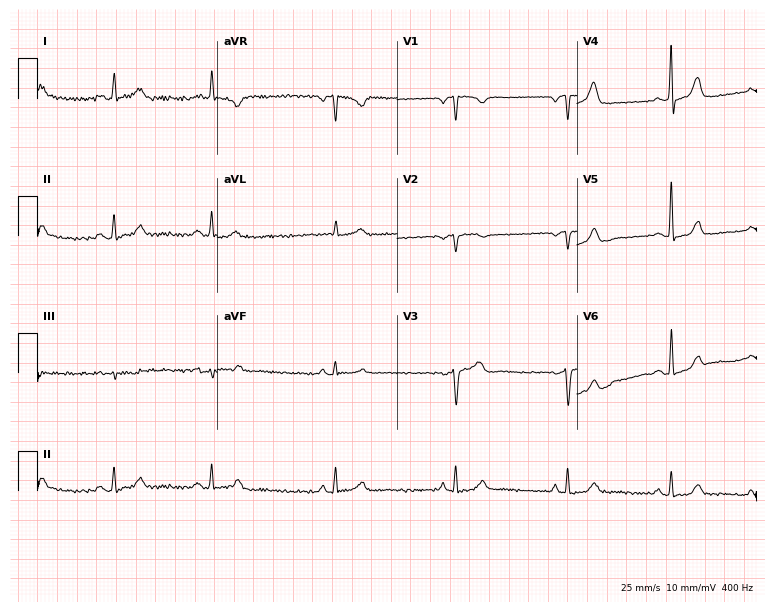
Resting 12-lead electrocardiogram (7.3-second recording at 400 Hz). Patient: a female, 49 years old. None of these six findings is recorded: first-degree AV block, right bundle branch block, left bundle branch block, sinus bradycardia, atrial fibrillation, sinus tachycardia.